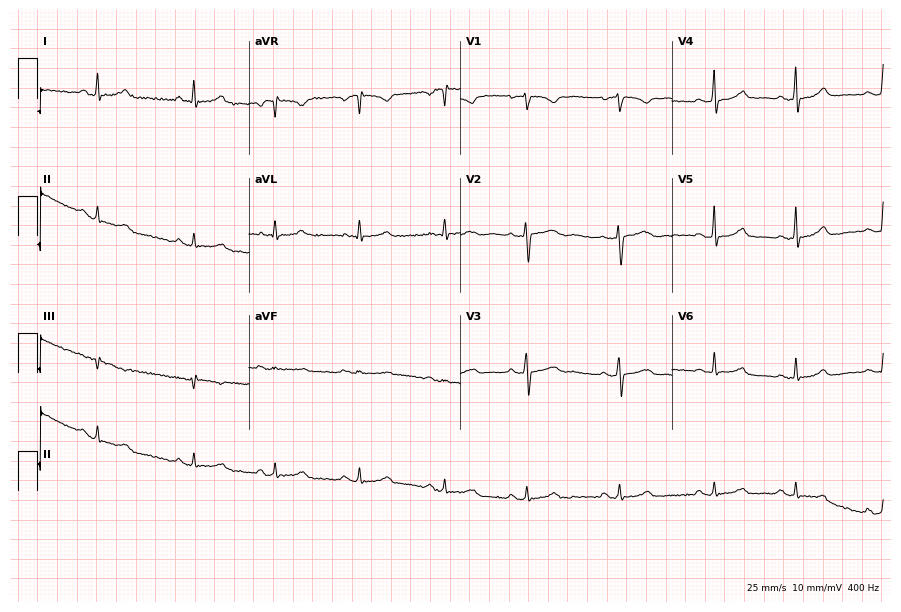
12-lead ECG from a female patient, 28 years old. Labelled as a normal ECG.